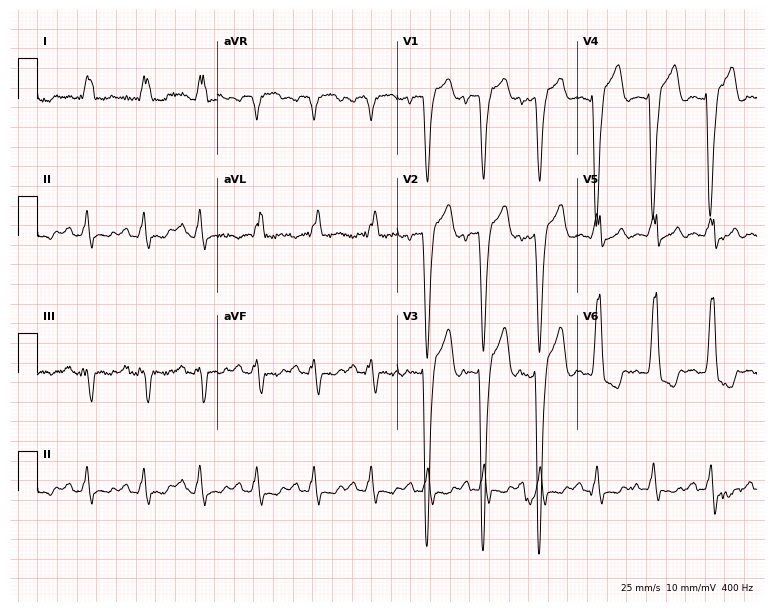
Electrocardiogram, a female, 50 years old. Interpretation includes left bundle branch block (LBBB), sinus tachycardia (a sinus rate of 100 beats per minute or more).